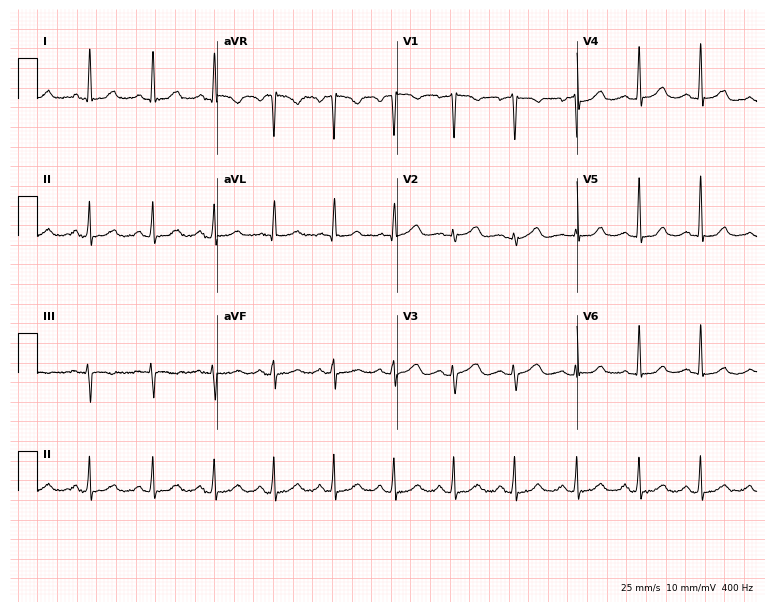
Standard 12-lead ECG recorded from a 41-year-old female (7.3-second recording at 400 Hz). Read as a normal ECG.